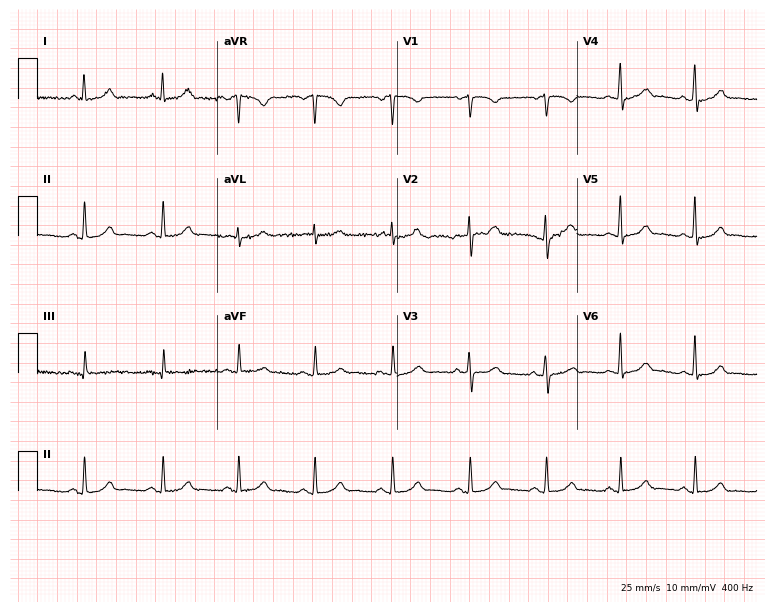
Electrocardiogram, a 60-year-old female. Overall reading on record: normal ECG.